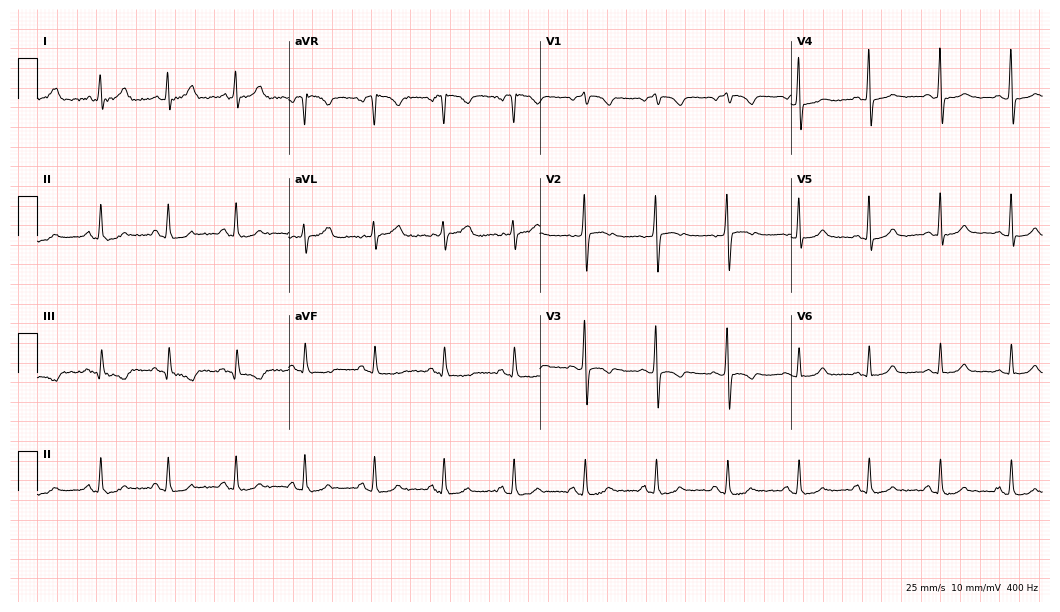
12-lead ECG from a female, 67 years old. Labelled as a normal ECG.